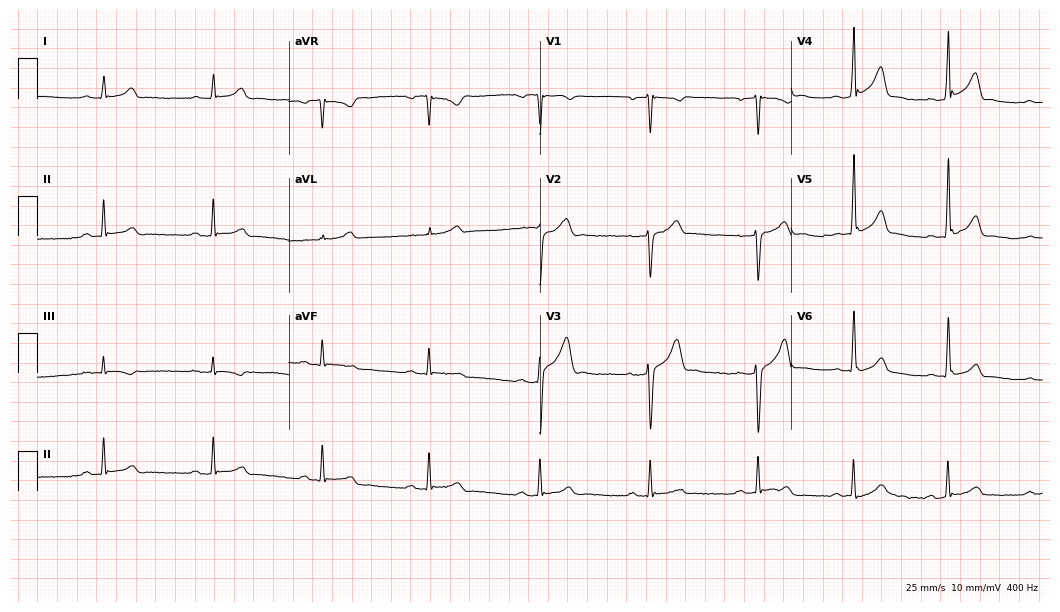
ECG — a male, 35 years old. Labelled as a normal ECG.